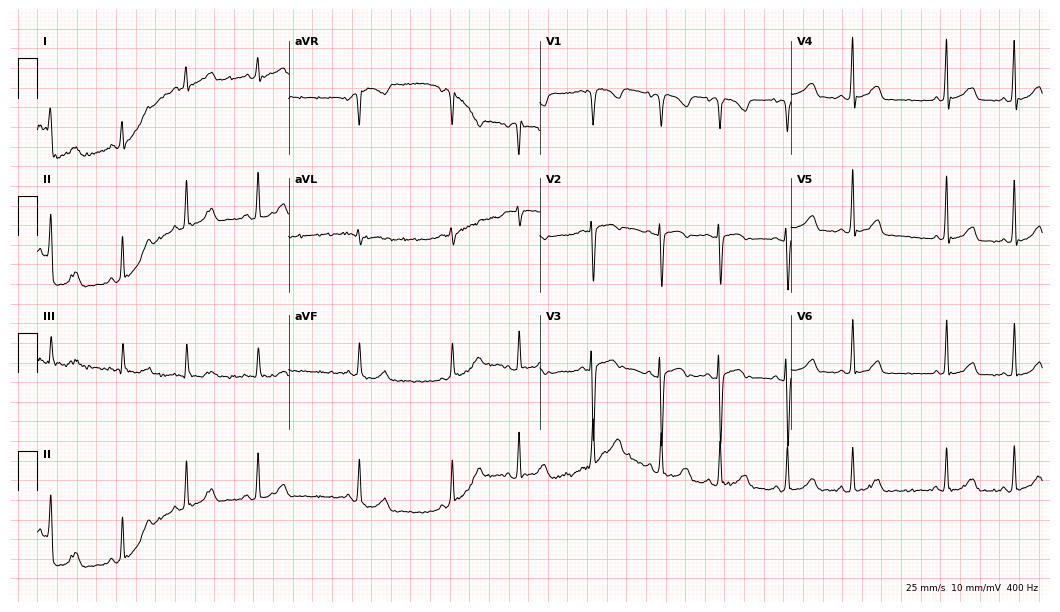
12-lead ECG from a 40-year-old female. Recorded interpretation: within normal limits.